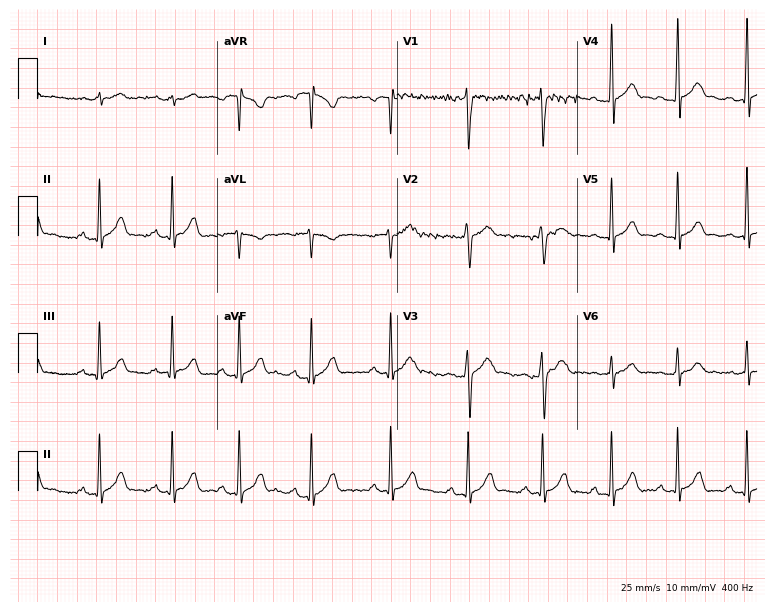
12-lead ECG from a male, 19 years old. Labelled as a normal ECG.